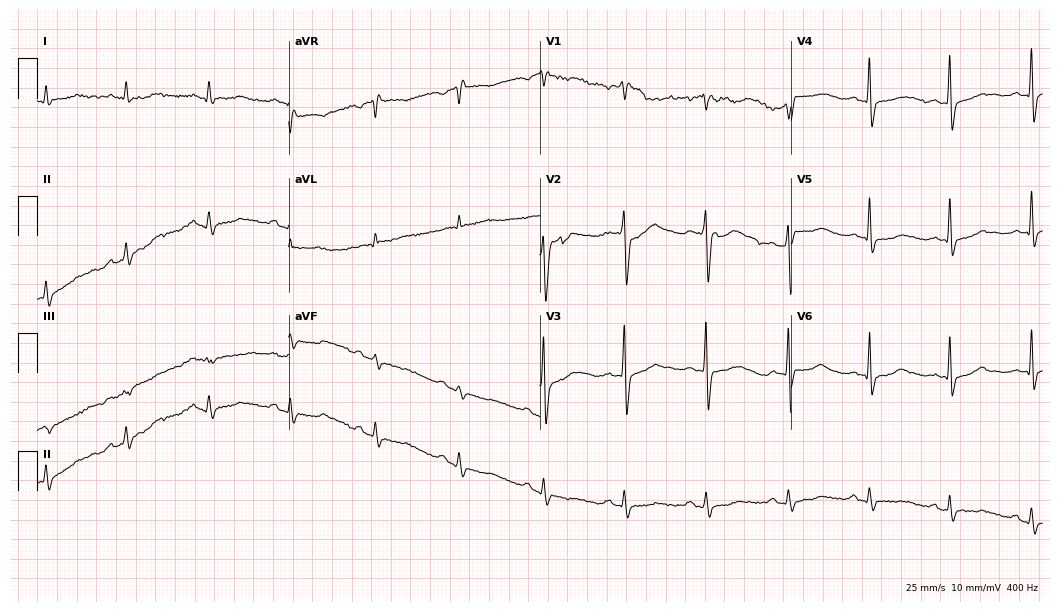
ECG (10.2-second recording at 400 Hz) — a 48-year-old man. Screened for six findings — first-degree AV block, right bundle branch block, left bundle branch block, sinus bradycardia, atrial fibrillation, sinus tachycardia — none is recorded.